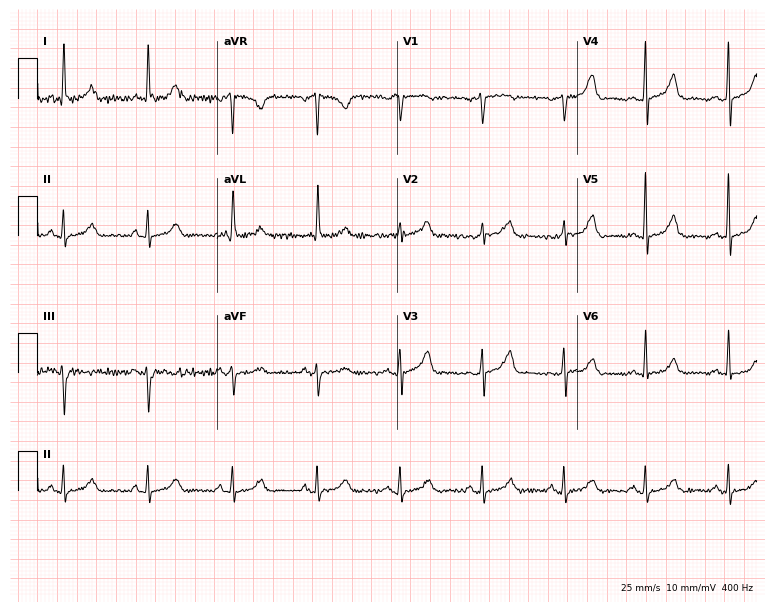
Electrocardiogram (7.3-second recording at 400 Hz), a woman, 64 years old. Overall reading on record: normal ECG.